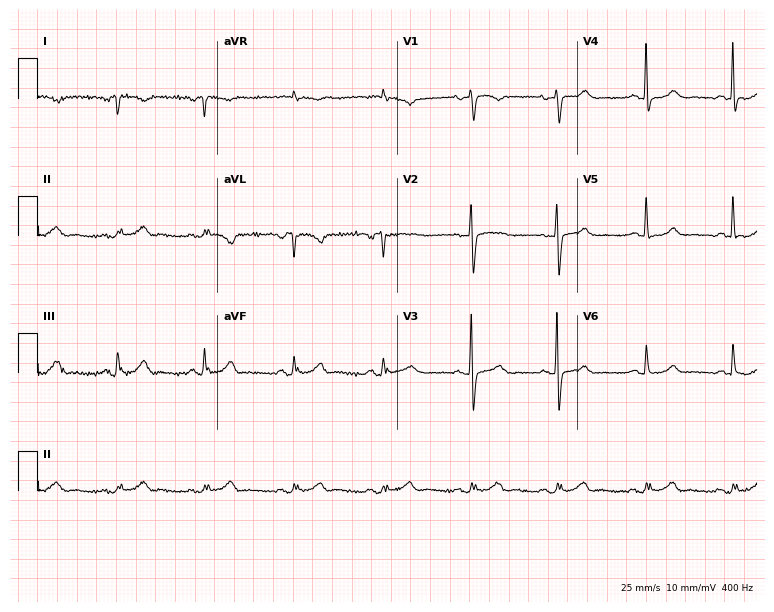
12-lead ECG from a woman, 84 years old (7.3-second recording at 400 Hz). No first-degree AV block, right bundle branch block (RBBB), left bundle branch block (LBBB), sinus bradycardia, atrial fibrillation (AF) or sinus tachycardia recorded for this tracing. Only these six findings were labelled.